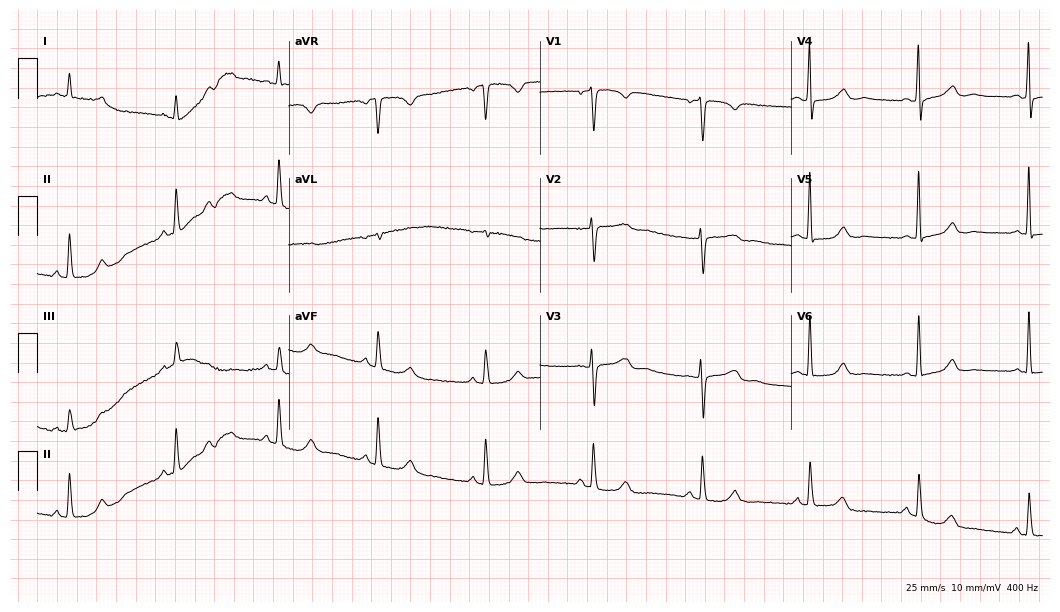
Standard 12-lead ECG recorded from a female, 69 years old (10.2-second recording at 400 Hz). Read as a normal ECG.